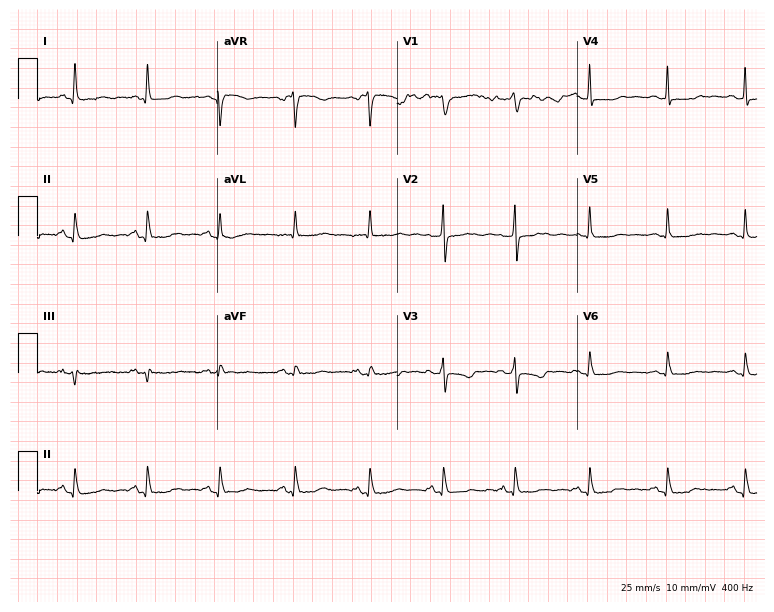
12-lead ECG (7.3-second recording at 400 Hz) from a female, 48 years old. Screened for six findings — first-degree AV block, right bundle branch block, left bundle branch block, sinus bradycardia, atrial fibrillation, sinus tachycardia — none is recorded. Only these six findings were labelled.